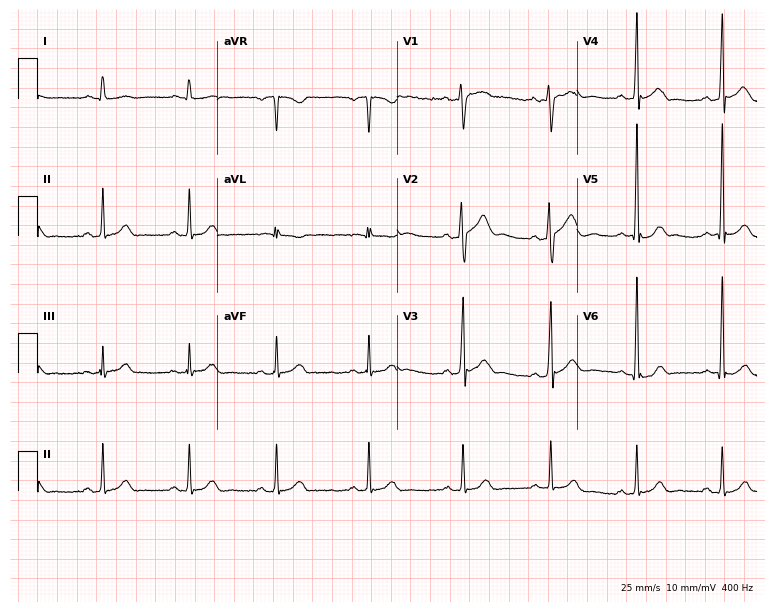
Standard 12-lead ECG recorded from a 33-year-old male. None of these six findings is recorded: first-degree AV block, right bundle branch block, left bundle branch block, sinus bradycardia, atrial fibrillation, sinus tachycardia.